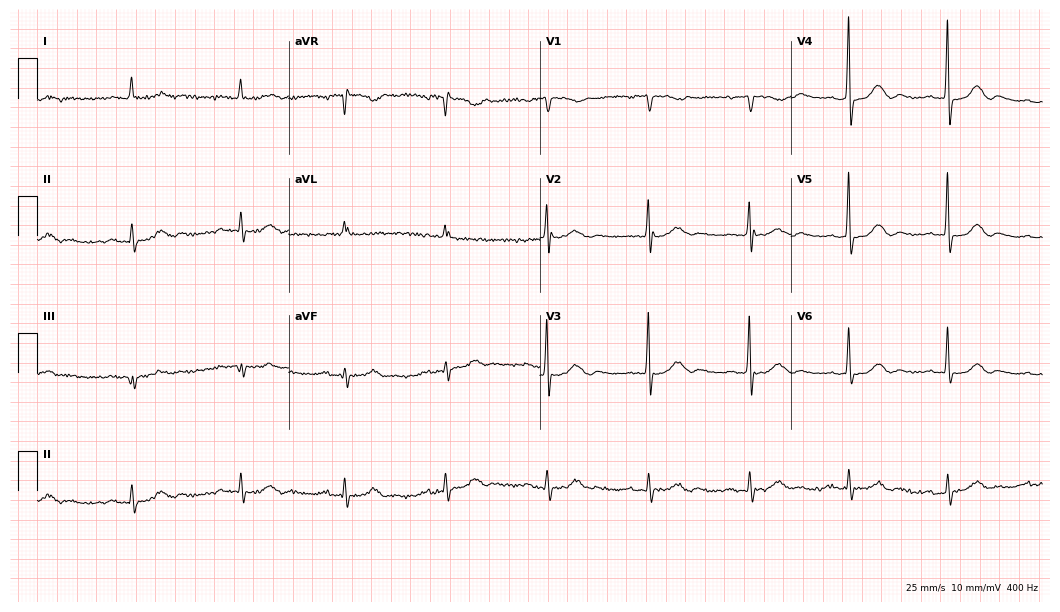
Resting 12-lead electrocardiogram. Patient: an 80-year-old female. None of these six findings is recorded: first-degree AV block, right bundle branch block, left bundle branch block, sinus bradycardia, atrial fibrillation, sinus tachycardia. Other findings, if any, are not listed.